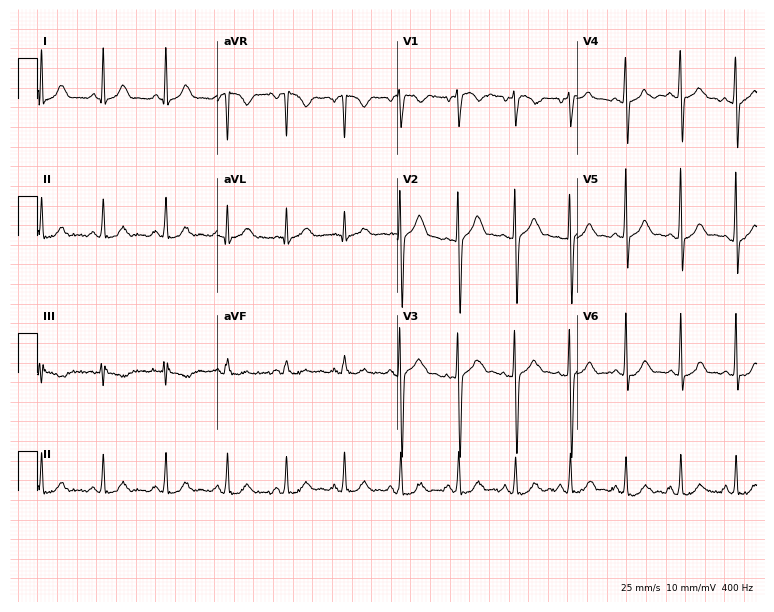
12-lead ECG from a 29-year-old female patient. No first-degree AV block, right bundle branch block (RBBB), left bundle branch block (LBBB), sinus bradycardia, atrial fibrillation (AF) or sinus tachycardia recorded for this tracing.